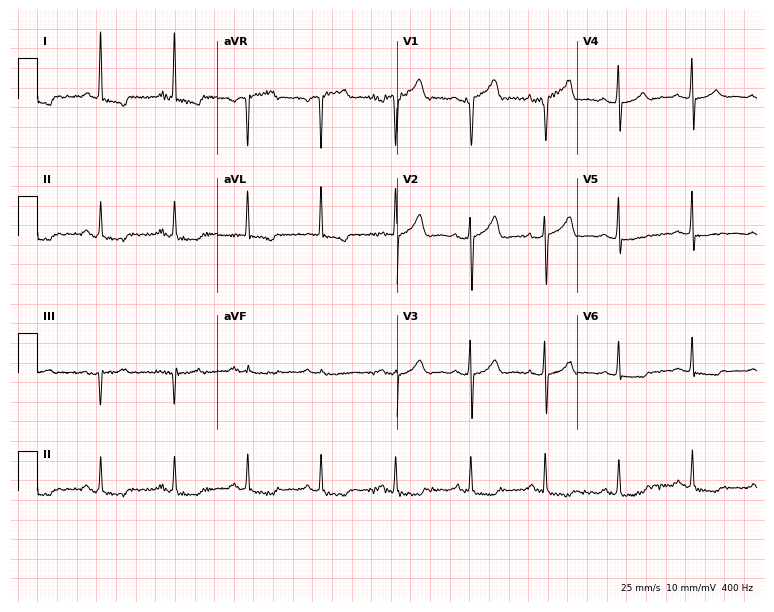
12-lead ECG from a female patient, 51 years old. Screened for six findings — first-degree AV block, right bundle branch block, left bundle branch block, sinus bradycardia, atrial fibrillation, sinus tachycardia — none is recorded.